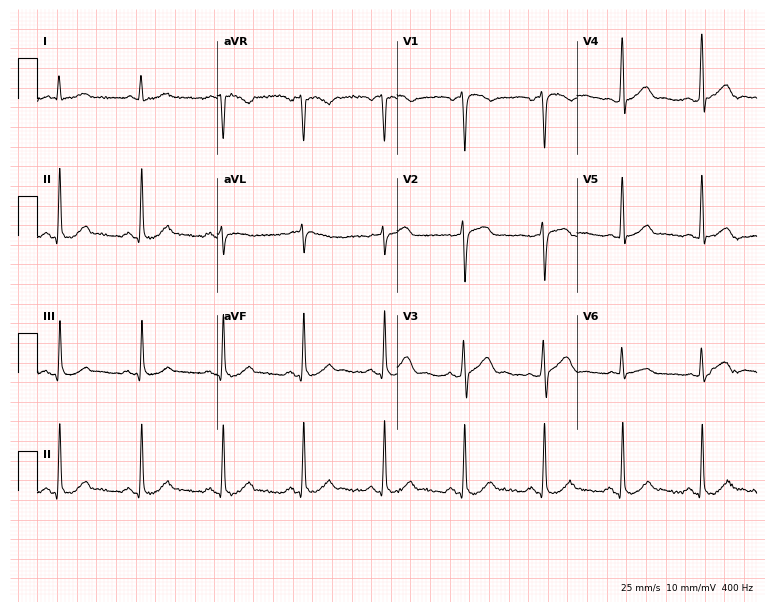
Resting 12-lead electrocardiogram (7.3-second recording at 400 Hz). Patient: a 62-year-old man. Read as a normal ECG.